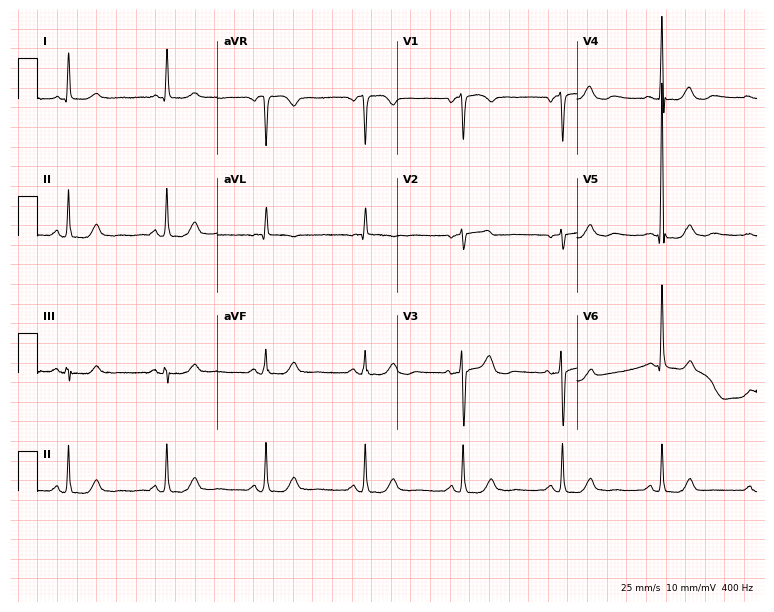
Resting 12-lead electrocardiogram (7.3-second recording at 400 Hz). Patient: an 82-year-old woman. None of these six findings is recorded: first-degree AV block, right bundle branch block (RBBB), left bundle branch block (LBBB), sinus bradycardia, atrial fibrillation (AF), sinus tachycardia.